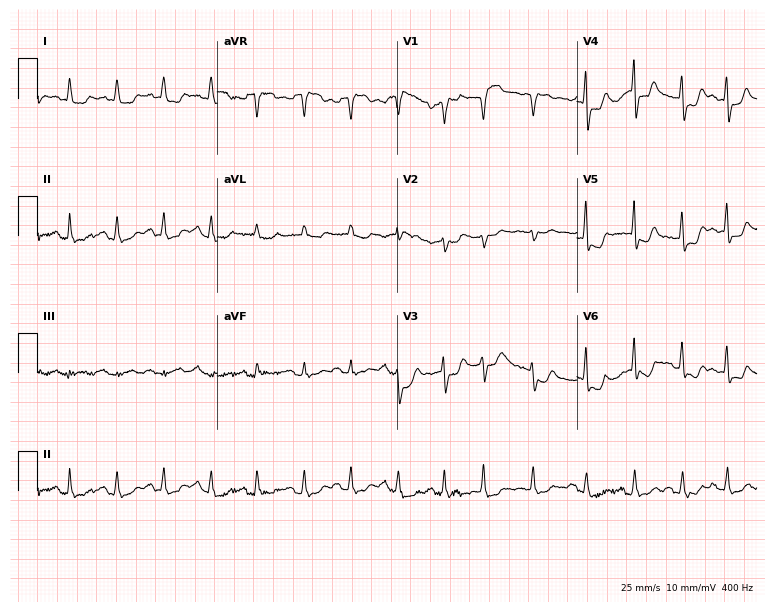
12-lead ECG (7.3-second recording at 400 Hz) from a woman, 82 years old. Screened for six findings — first-degree AV block, right bundle branch block, left bundle branch block, sinus bradycardia, atrial fibrillation, sinus tachycardia — none is recorded. Findings outside these six are not listed.